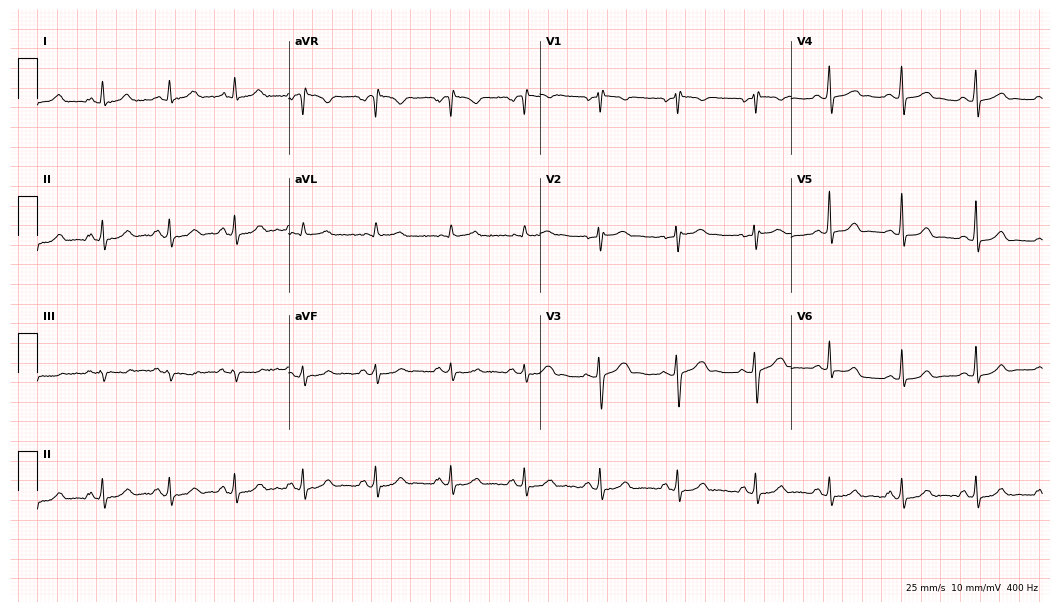
12-lead ECG (10.2-second recording at 400 Hz) from a 28-year-old female patient. Screened for six findings — first-degree AV block, right bundle branch block, left bundle branch block, sinus bradycardia, atrial fibrillation, sinus tachycardia — none is recorded.